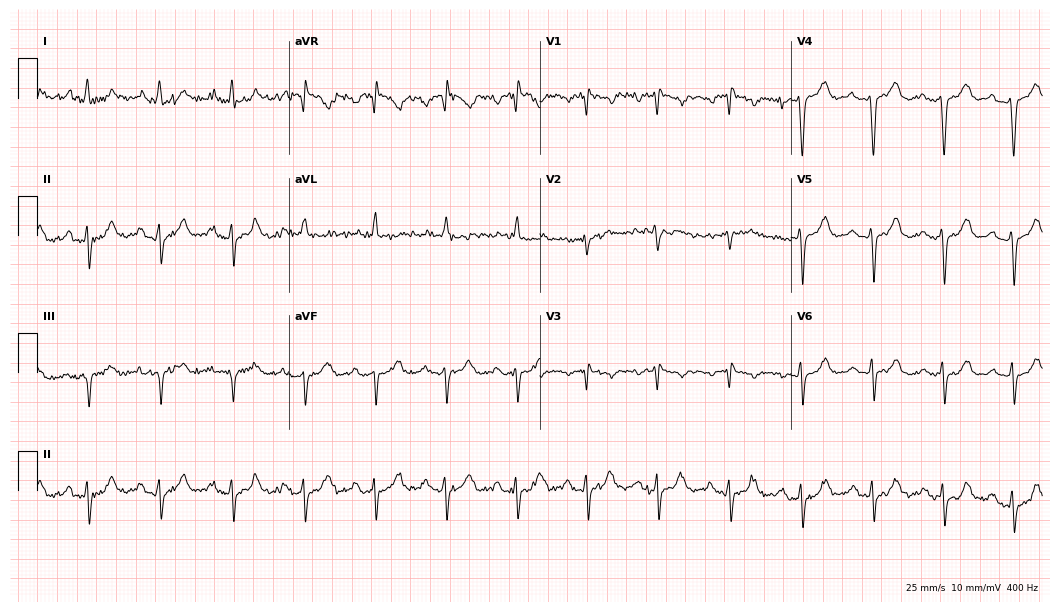
ECG (10.2-second recording at 400 Hz) — a female patient, 57 years old. Screened for six findings — first-degree AV block, right bundle branch block (RBBB), left bundle branch block (LBBB), sinus bradycardia, atrial fibrillation (AF), sinus tachycardia — none is recorded. Only these six findings were labelled.